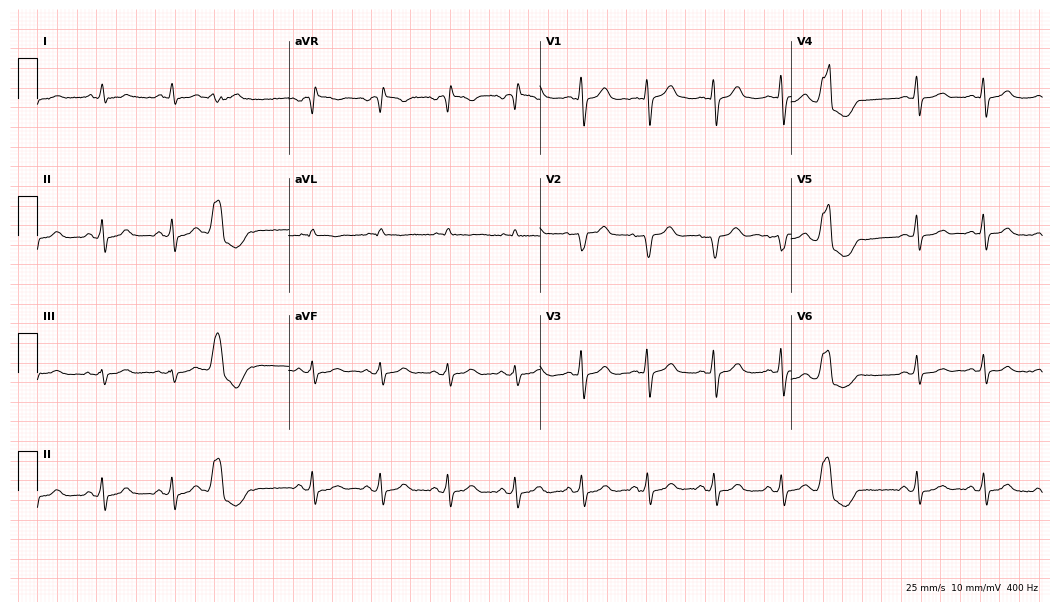
Electrocardiogram, a 59-year-old man. Of the six screened findings (first-degree AV block, right bundle branch block (RBBB), left bundle branch block (LBBB), sinus bradycardia, atrial fibrillation (AF), sinus tachycardia), none is recorded.